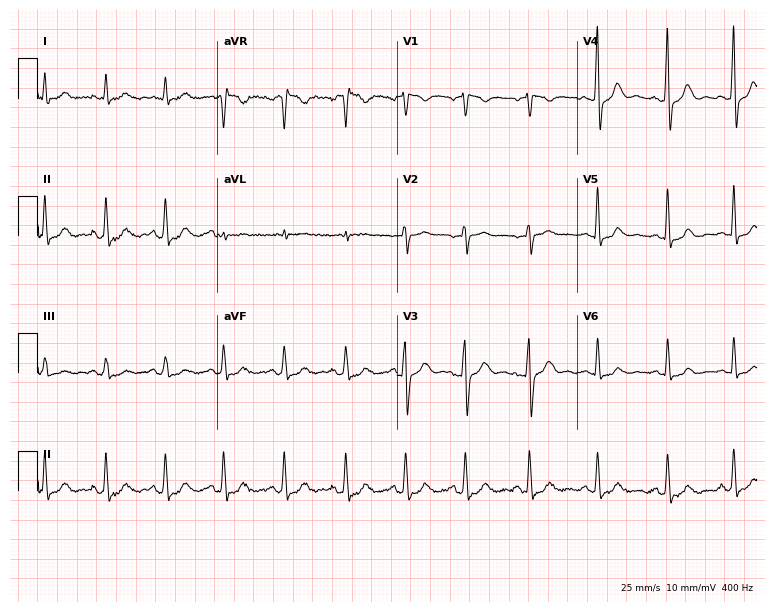
12-lead ECG from a 33-year-old female. Screened for six findings — first-degree AV block, right bundle branch block, left bundle branch block, sinus bradycardia, atrial fibrillation, sinus tachycardia — none is recorded. Findings outside these six are not listed.